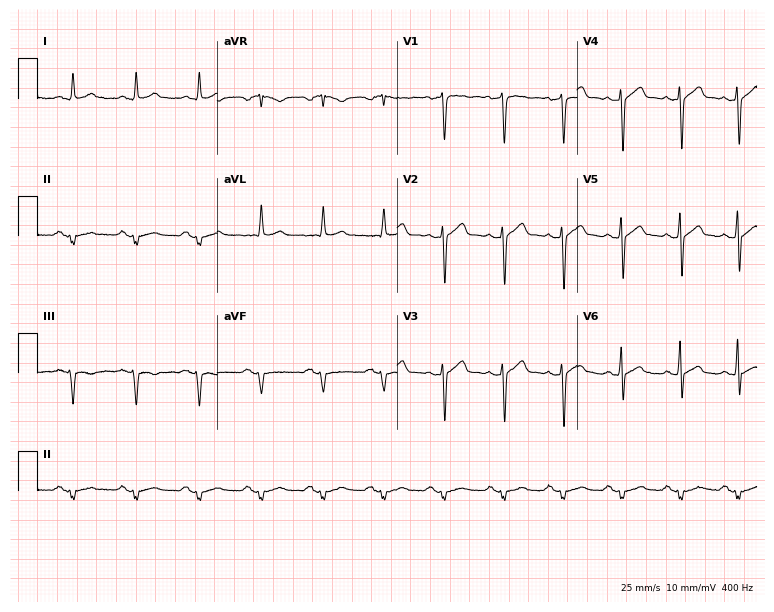
12-lead ECG from a man, 53 years old. Screened for six findings — first-degree AV block, right bundle branch block (RBBB), left bundle branch block (LBBB), sinus bradycardia, atrial fibrillation (AF), sinus tachycardia — none is recorded.